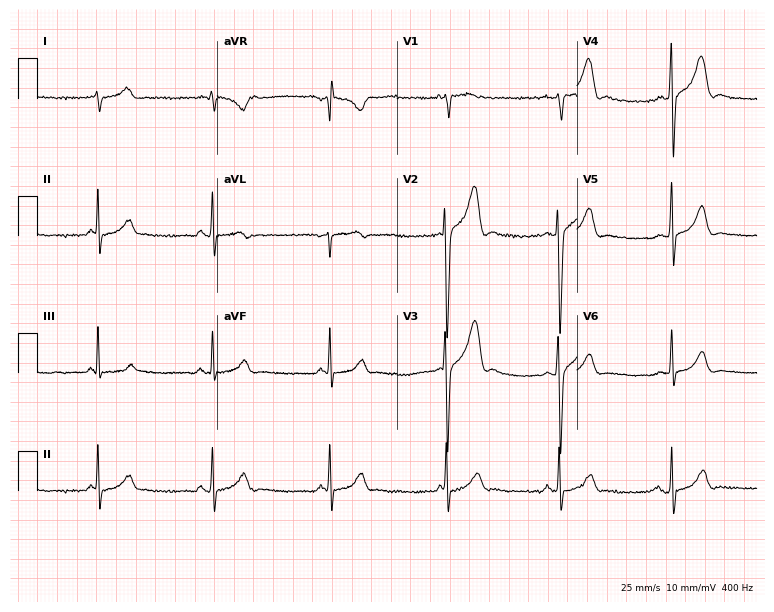
12-lead ECG from a 20-year-old man. No first-degree AV block, right bundle branch block, left bundle branch block, sinus bradycardia, atrial fibrillation or sinus tachycardia recorded for this tracing.